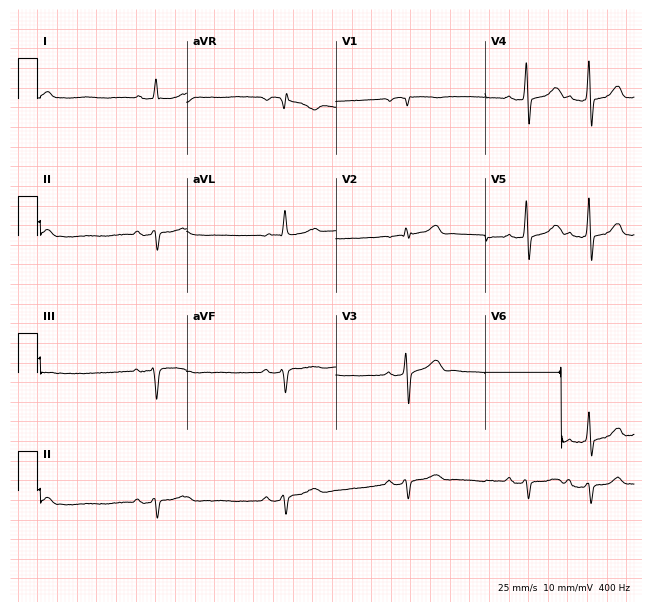
12-lead ECG from a 61-year-old male patient (6.1-second recording at 400 Hz). Shows sinus bradycardia (a sinus rate of 50 beats per minute or less).